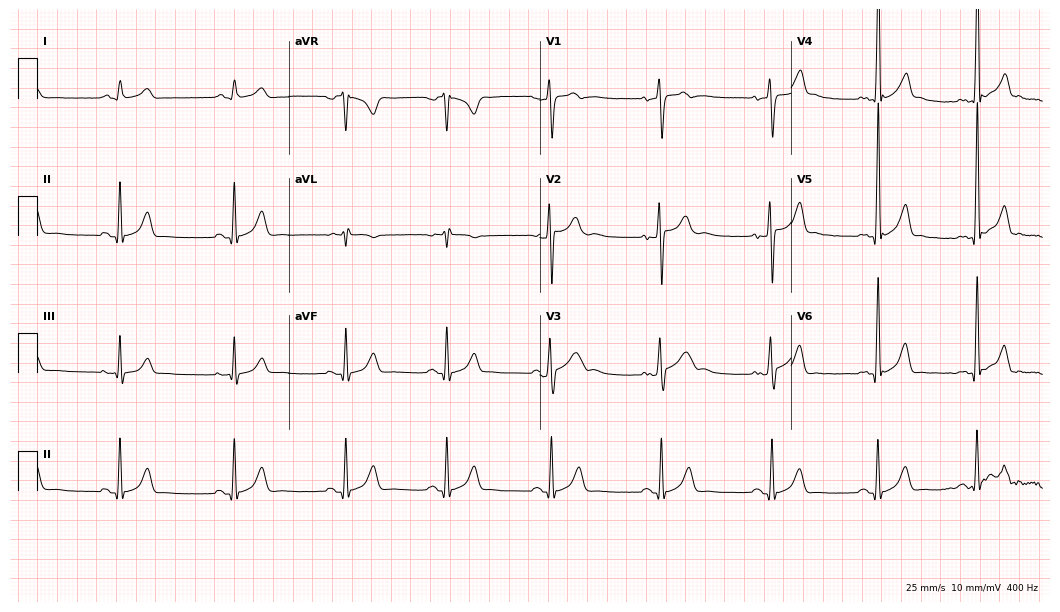
ECG (10.2-second recording at 400 Hz) — a 26-year-old male. Screened for six findings — first-degree AV block, right bundle branch block, left bundle branch block, sinus bradycardia, atrial fibrillation, sinus tachycardia — none is recorded. Findings outside these six are not listed.